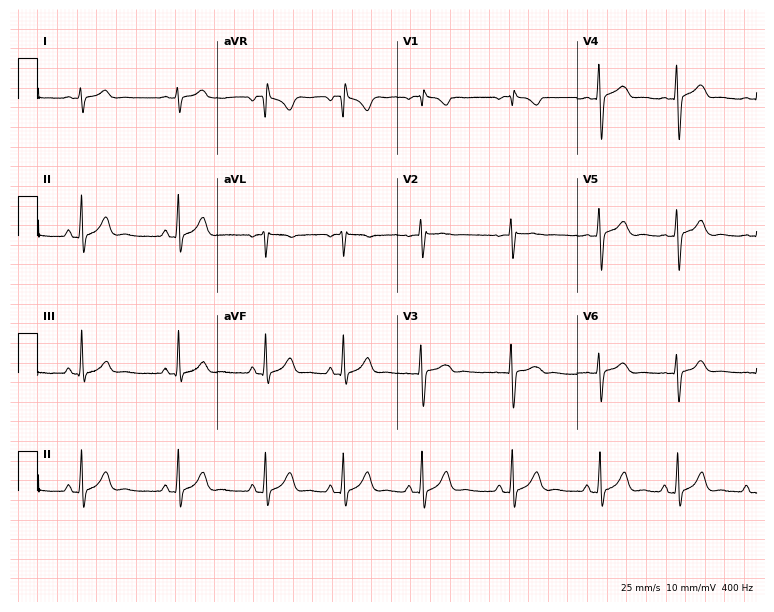
ECG — a 19-year-old woman. Screened for six findings — first-degree AV block, right bundle branch block (RBBB), left bundle branch block (LBBB), sinus bradycardia, atrial fibrillation (AF), sinus tachycardia — none is recorded. Only these six findings were labelled.